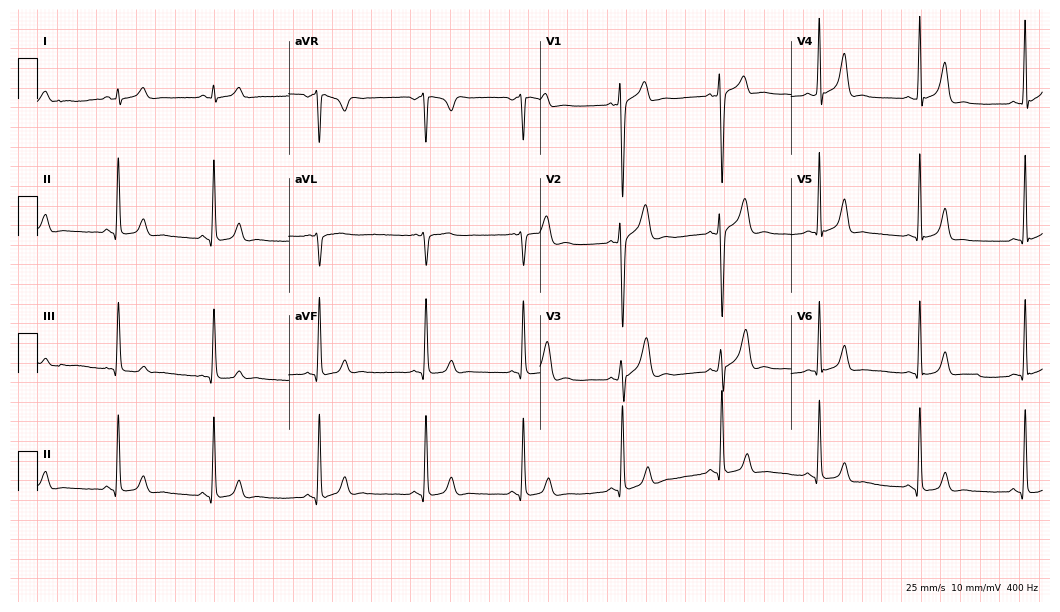
12-lead ECG (10.2-second recording at 400 Hz) from a male, 17 years old. Screened for six findings — first-degree AV block, right bundle branch block, left bundle branch block, sinus bradycardia, atrial fibrillation, sinus tachycardia — none is recorded. Findings outside these six are not listed.